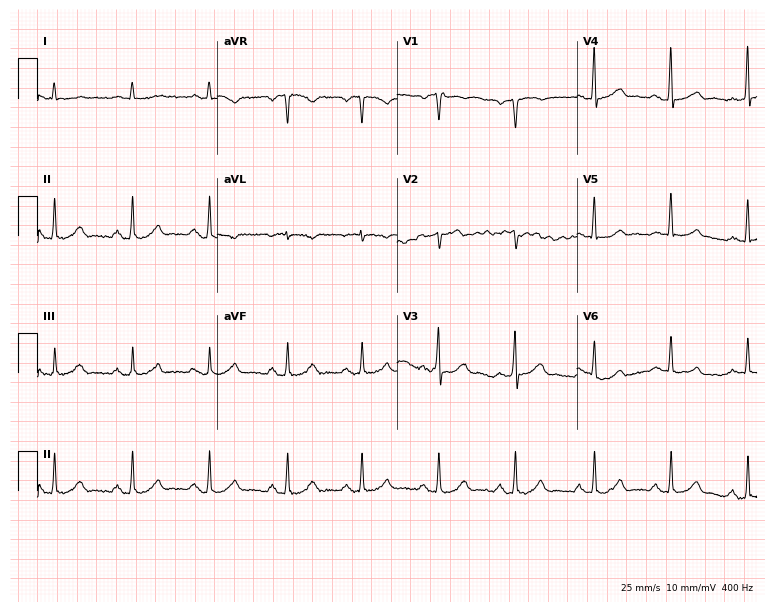
ECG (7.3-second recording at 400 Hz) — a male patient, 71 years old. Labelled as a normal ECG.